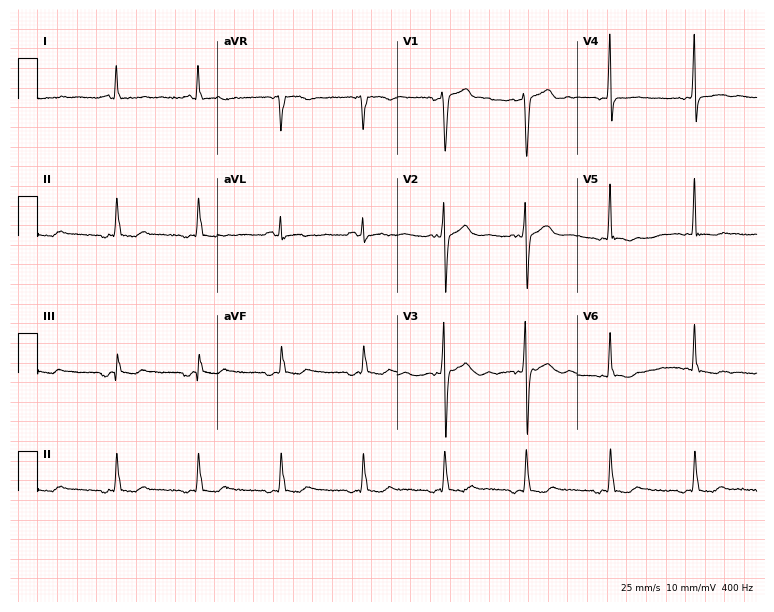
Standard 12-lead ECG recorded from a man, 62 years old (7.3-second recording at 400 Hz). None of these six findings is recorded: first-degree AV block, right bundle branch block (RBBB), left bundle branch block (LBBB), sinus bradycardia, atrial fibrillation (AF), sinus tachycardia. Other findings, if any, are not listed.